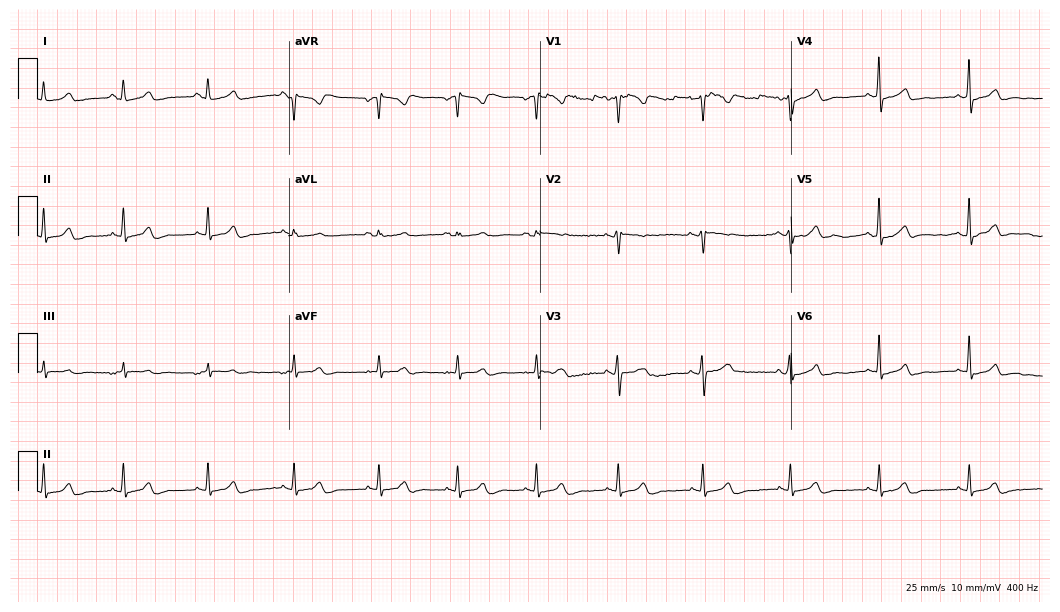
Standard 12-lead ECG recorded from a 35-year-old woman. Read as a normal ECG.